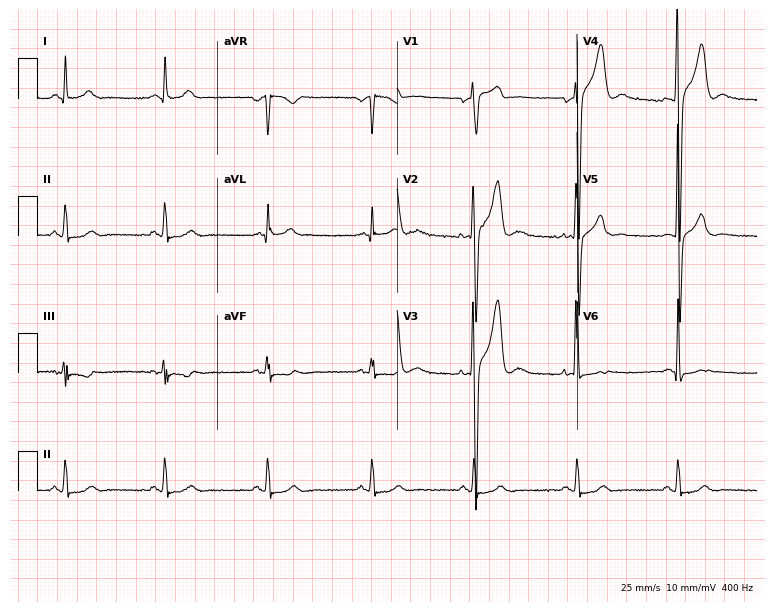
12-lead ECG from a 37-year-old male (7.3-second recording at 400 Hz). Recorded interpretation: within normal limits.